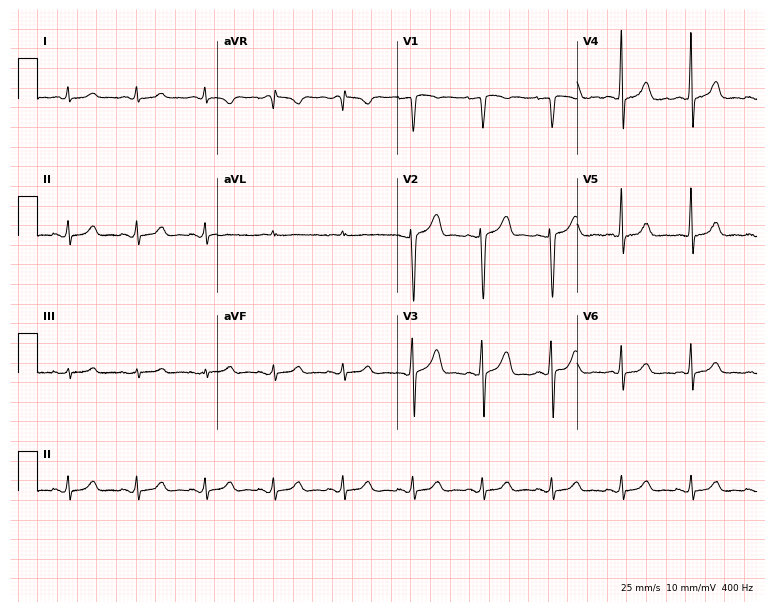
Standard 12-lead ECG recorded from a 51-year-old male patient (7.3-second recording at 400 Hz). None of these six findings is recorded: first-degree AV block, right bundle branch block, left bundle branch block, sinus bradycardia, atrial fibrillation, sinus tachycardia.